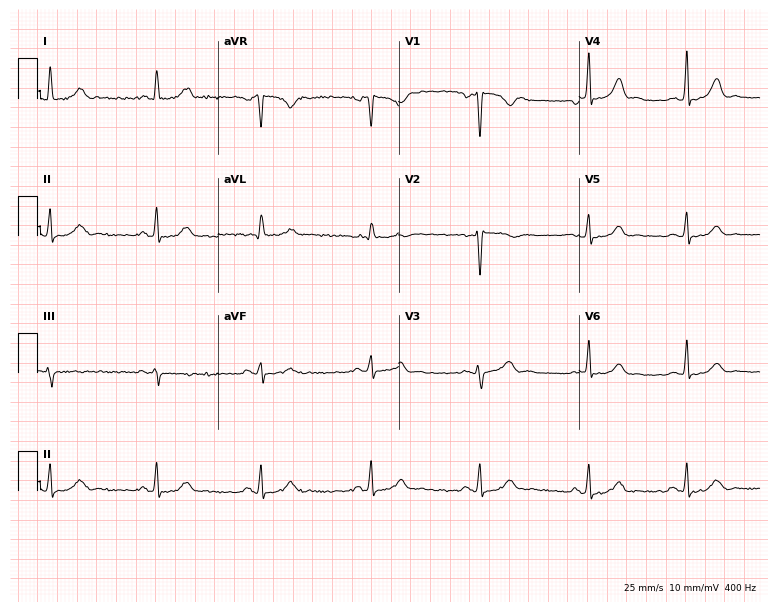
Standard 12-lead ECG recorded from a female, 46 years old. None of these six findings is recorded: first-degree AV block, right bundle branch block, left bundle branch block, sinus bradycardia, atrial fibrillation, sinus tachycardia.